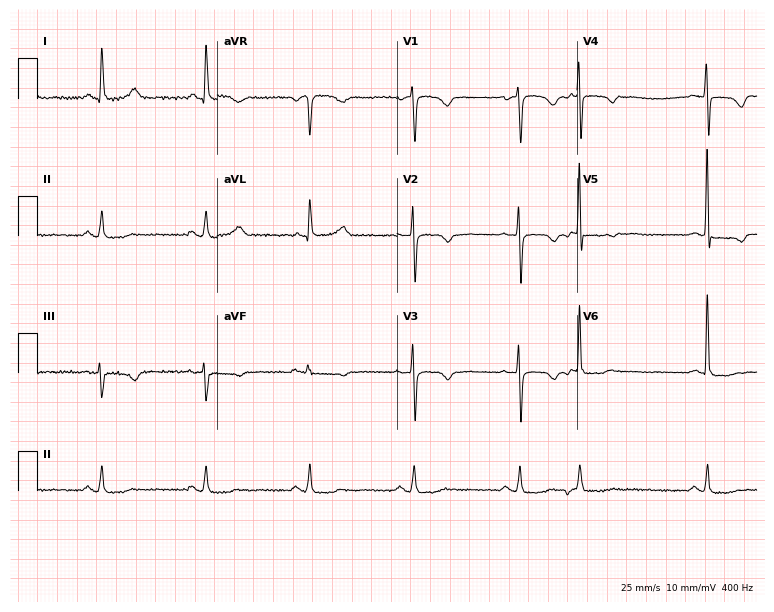
Electrocardiogram, a 71-year-old woman. Overall reading on record: normal ECG.